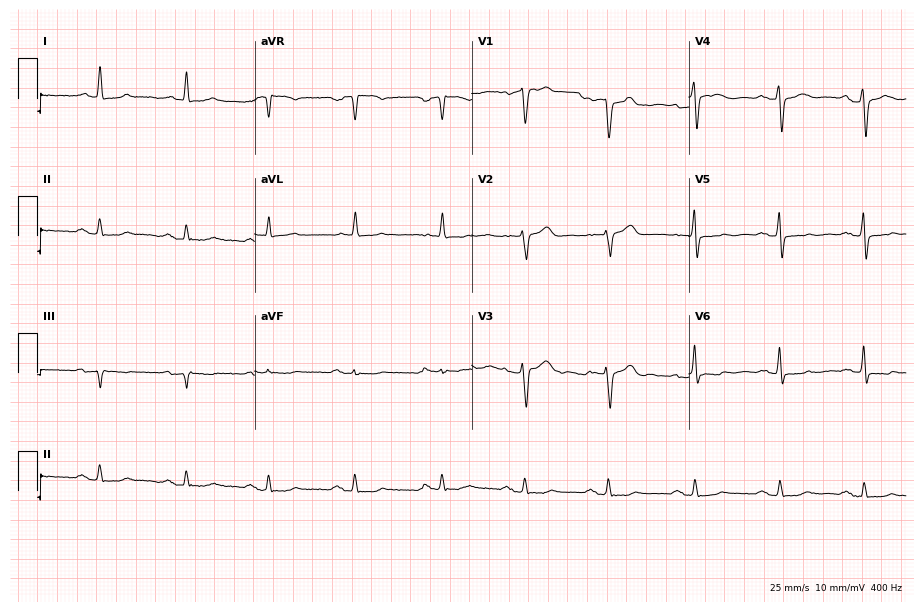
Standard 12-lead ECG recorded from a male, 76 years old. None of these six findings is recorded: first-degree AV block, right bundle branch block, left bundle branch block, sinus bradycardia, atrial fibrillation, sinus tachycardia.